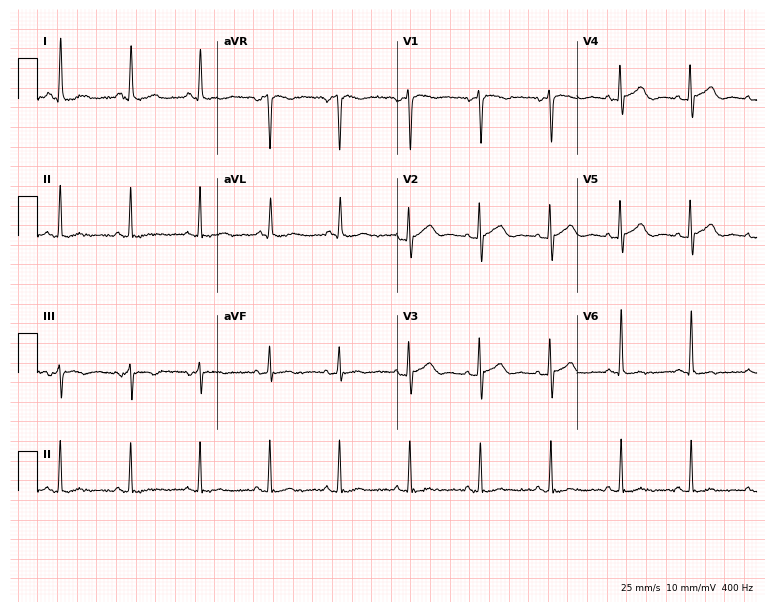
ECG (7.3-second recording at 400 Hz) — a female patient, 76 years old. Screened for six findings — first-degree AV block, right bundle branch block (RBBB), left bundle branch block (LBBB), sinus bradycardia, atrial fibrillation (AF), sinus tachycardia — none is recorded. Only these six findings were labelled.